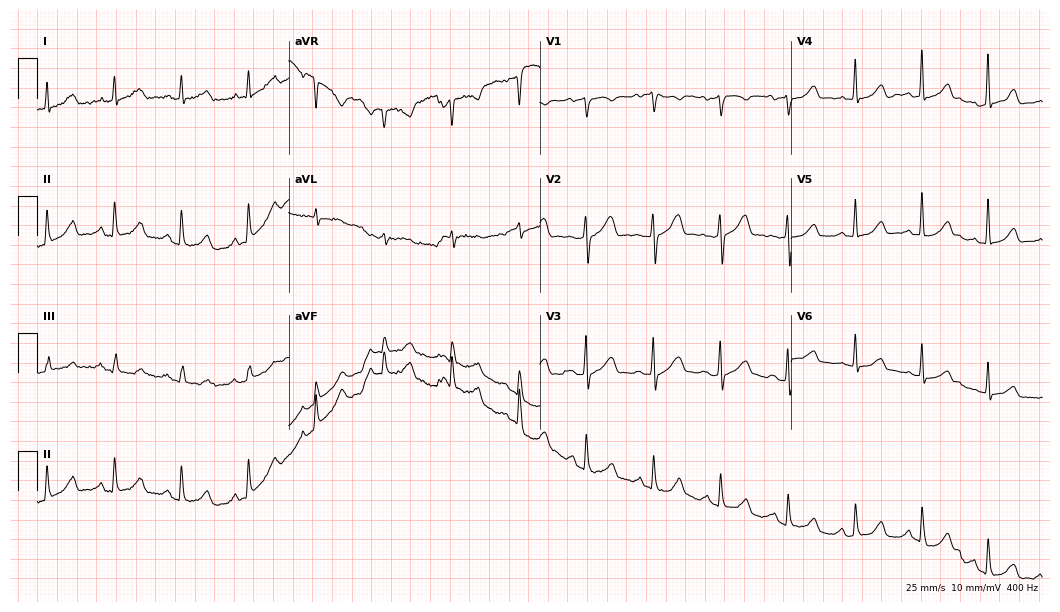
Resting 12-lead electrocardiogram (10.2-second recording at 400 Hz). Patient: a 55-year-old female. None of these six findings is recorded: first-degree AV block, right bundle branch block, left bundle branch block, sinus bradycardia, atrial fibrillation, sinus tachycardia. Findings outside these six are not listed.